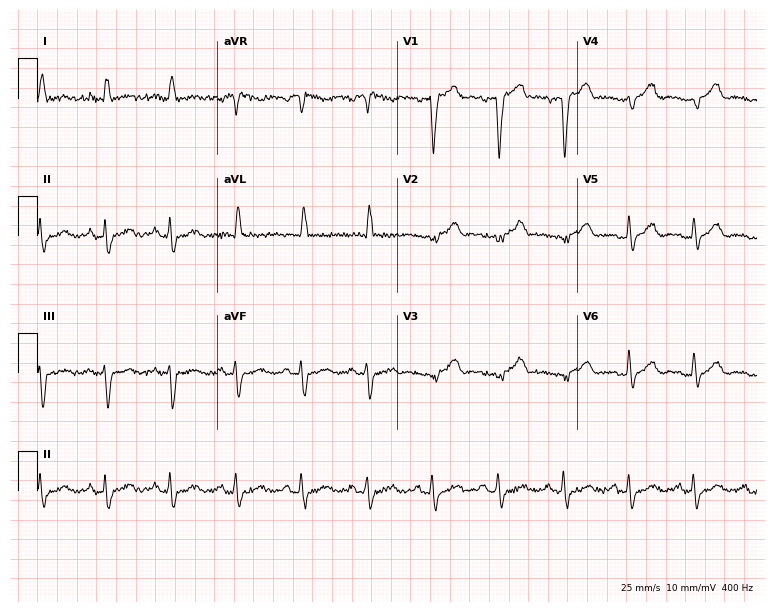
Resting 12-lead electrocardiogram. Patient: an 85-year-old man. None of these six findings is recorded: first-degree AV block, right bundle branch block, left bundle branch block, sinus bradycardia, atrial fibrillation, sinus tachycardia. Findings outside these six are not listed.